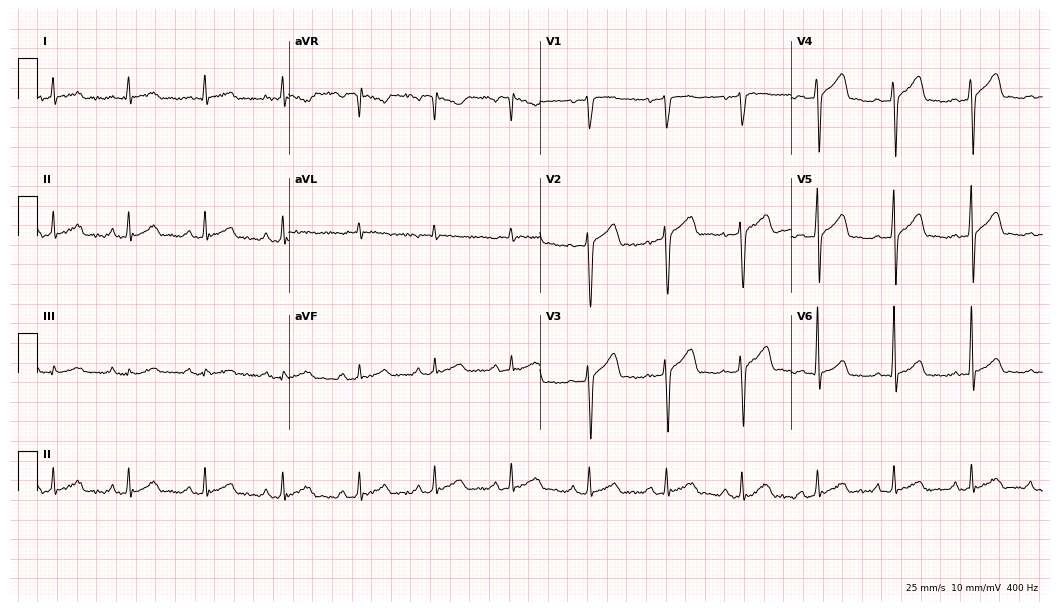
Electrocardiogram (10.2-second recording at 400 Hz), a man, 37 years old. Overall reading on record: normal ECG.